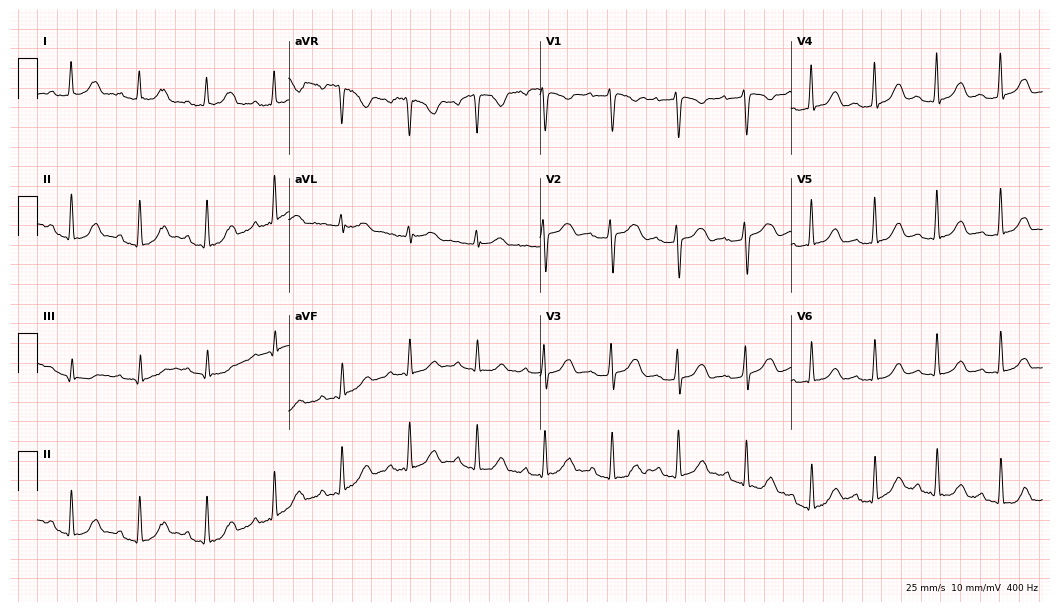
12-lead ECG (10.2-second recording at 400 Hz) from a 40-year-old female. Labelled as a normal ECG.